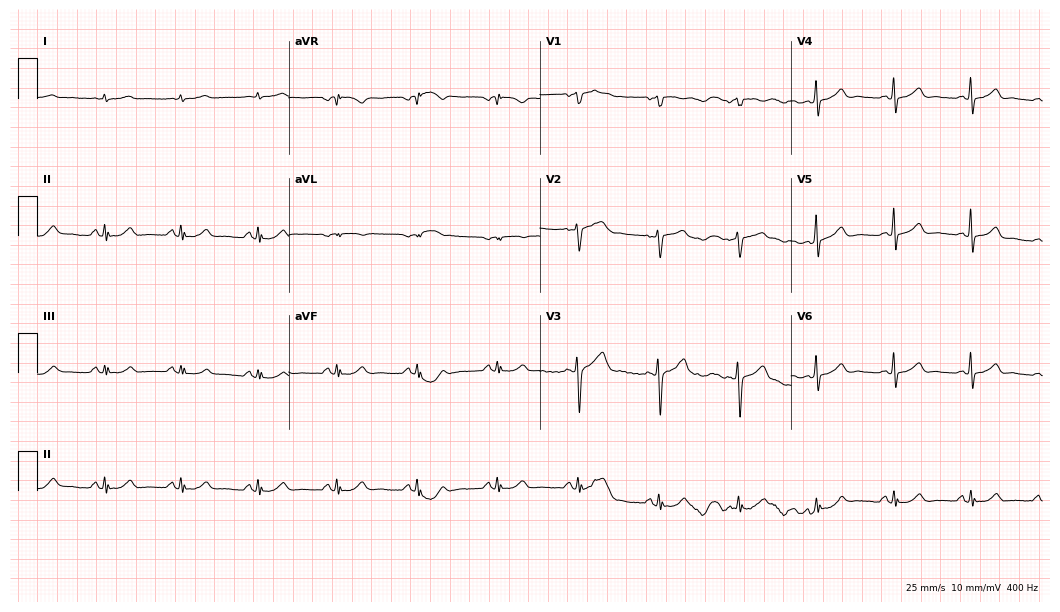
Electrocardiogram (10.2-second recording at 400 Hz), a man, 66 years old. Overall reading on record: normal ECG.